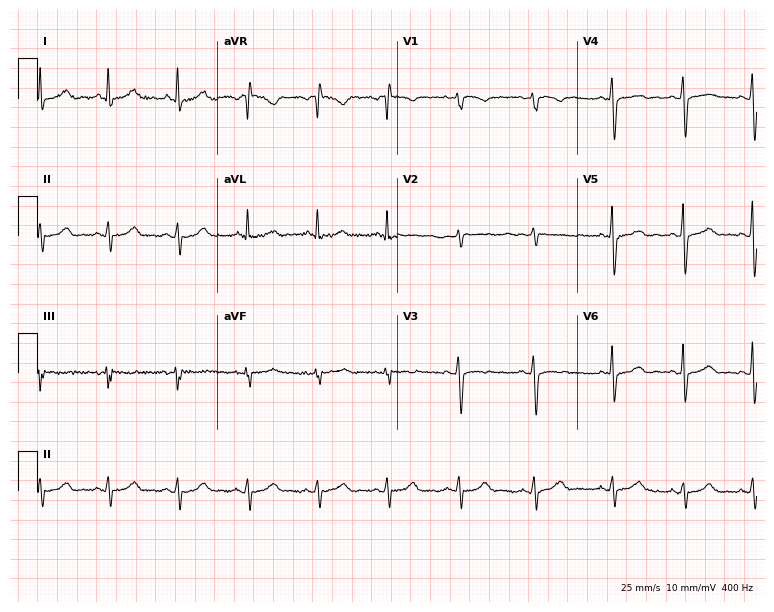
12-lead ECG from a 46-year-old female. No first-degree AV block, right bundle branch block, left bundle branch block, sinus bradycardia, atrial fibrillation or sinus tachycardia recorded for this tracing.